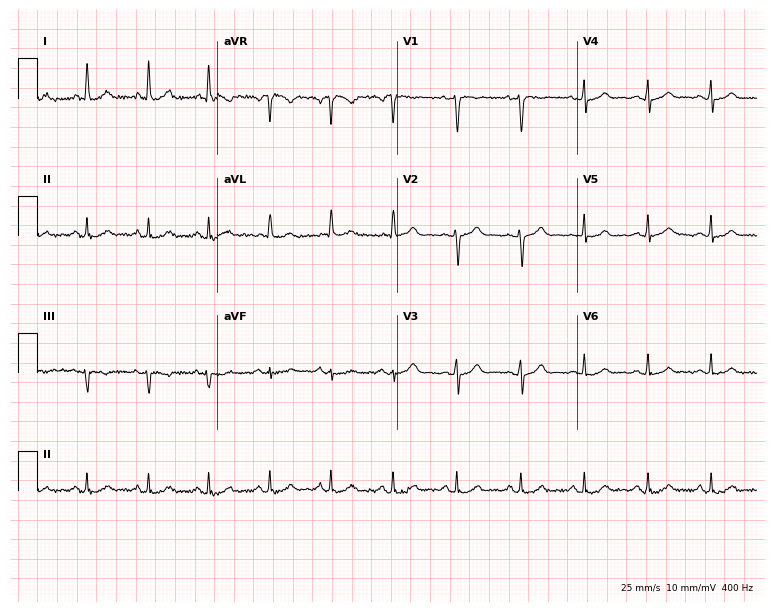
ECG (7.3-second recording at 400 Hz) — a woman, 49 years old. Labelled as a normal ECG.